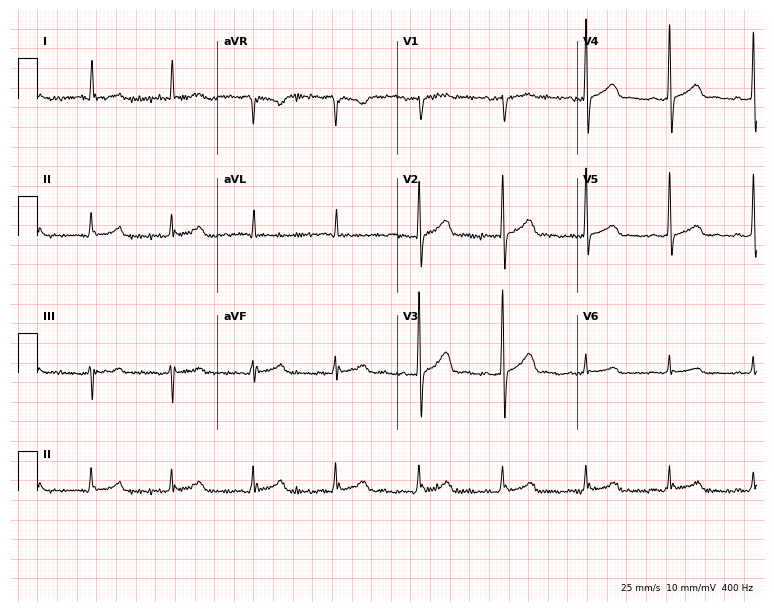
Electrocardiogram, a 65-year-old female patient. Of the six screened findings (first-degree AV block, right bundle branch block, left bundle branch block, sinus bradycardia, atrial fibrillation, sinus tachycardia), none is recorded. Findings outside these six are not listed.